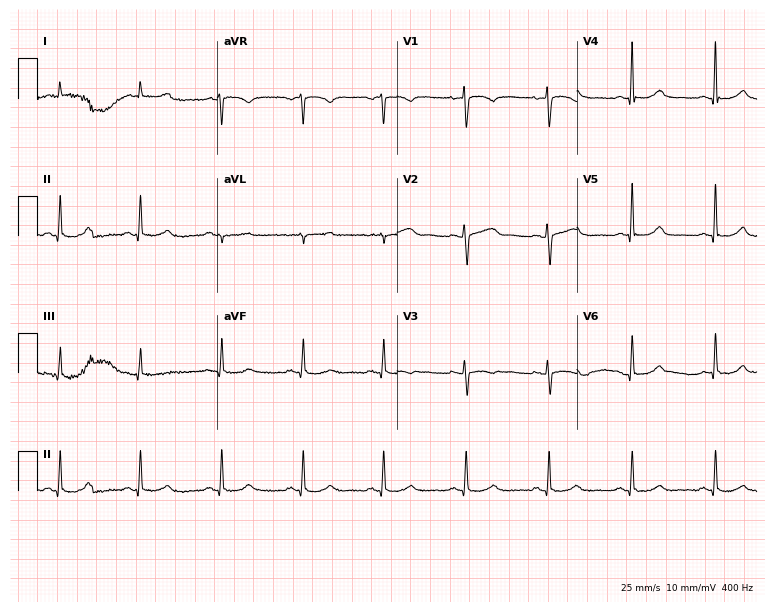
Standard 12-lead ECG recorded from a woman, 47 years old (7.3-second recording at 400 Hz). Read as a normal ECG.